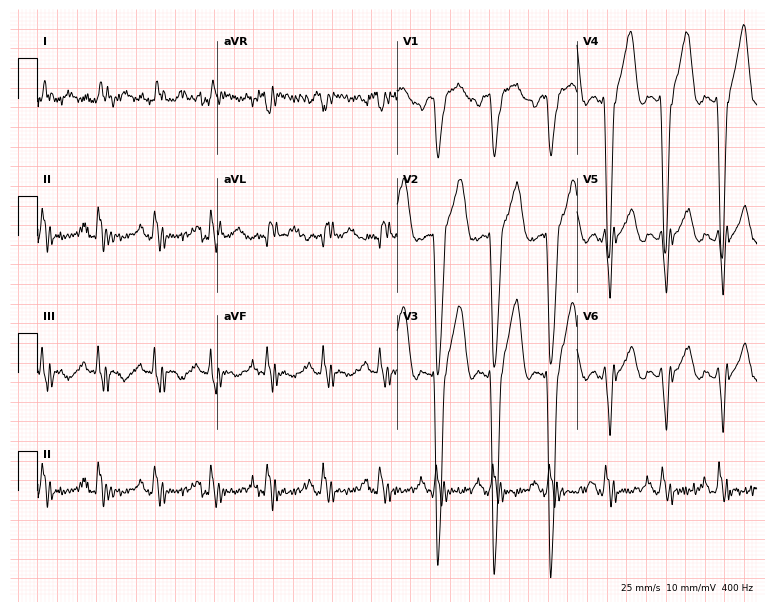
Electrocardiogram, a male patient, 56 years old. Of the six screened findings (first-degree AV block, right bundle branch block (RBBB), left bundle branch block (LBBB), sinus bradycardia, atrial fibrillation (AF), sinus tachycardia), none is recorded.